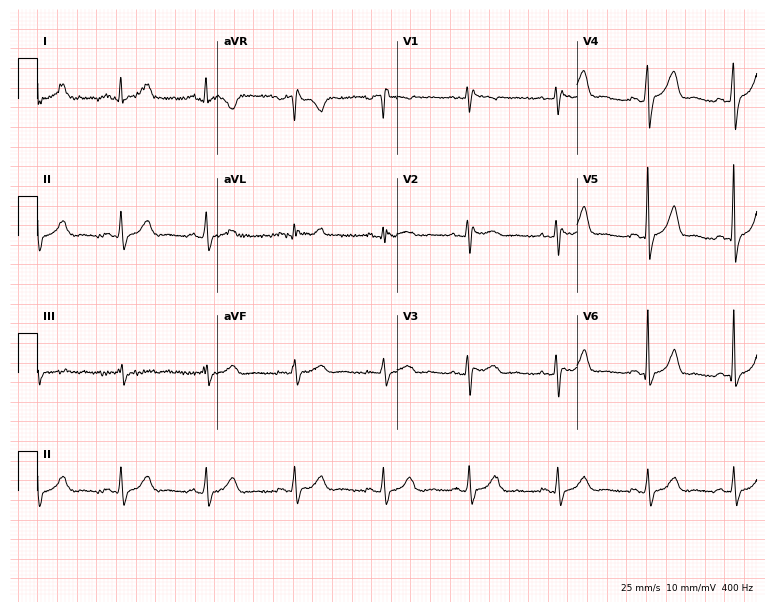
Electrocardiogram, a woman, 37 years old. Of the six screened findings (first-degree AV block, right bundle branch block, left bundle branch block, sinus bradycardia, atrial fibrillation, sinus tachycardia), none is recorded.